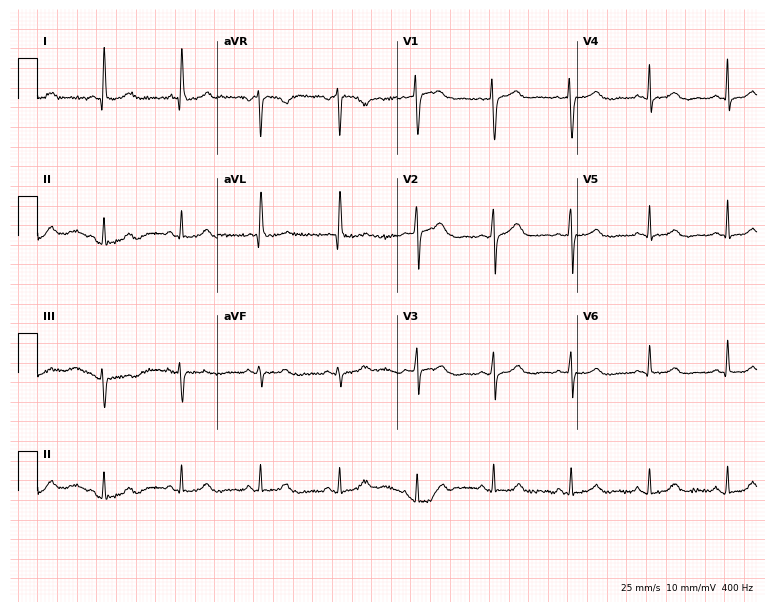
12-lead ECG from a 64-year-old female. Screened for six findings — first-degree AV block, right bundle branch block, left bundle branch block, sinus bradycardia, atrial fibrillation, sinus tachycardia — none is recorded. Only these six findings were labelled.